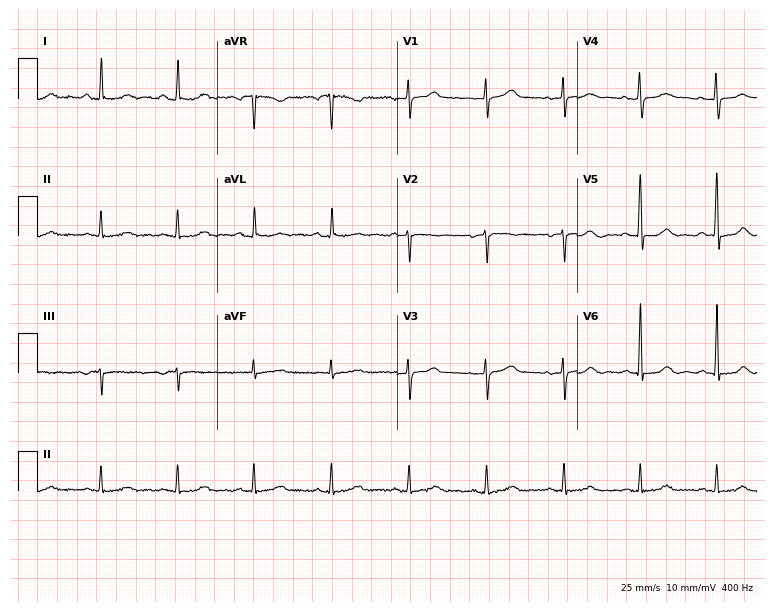
12-lead ECG from a 54-year-old female (7.3-second recording at 400 Hz). No first-degree AV block, right bundle branch block, left bundle branch block, sinus bradycardia, atrial fibrillation or sinus tachycardia recorded for this tracing.